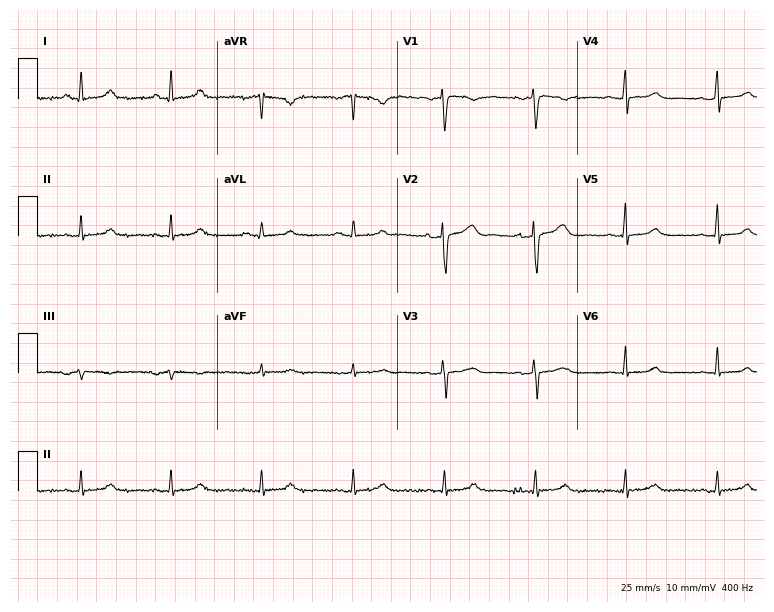
Resting 12-lead electrocardiogram. Patient: a 48-year-old woman. Read as a normal ECG.